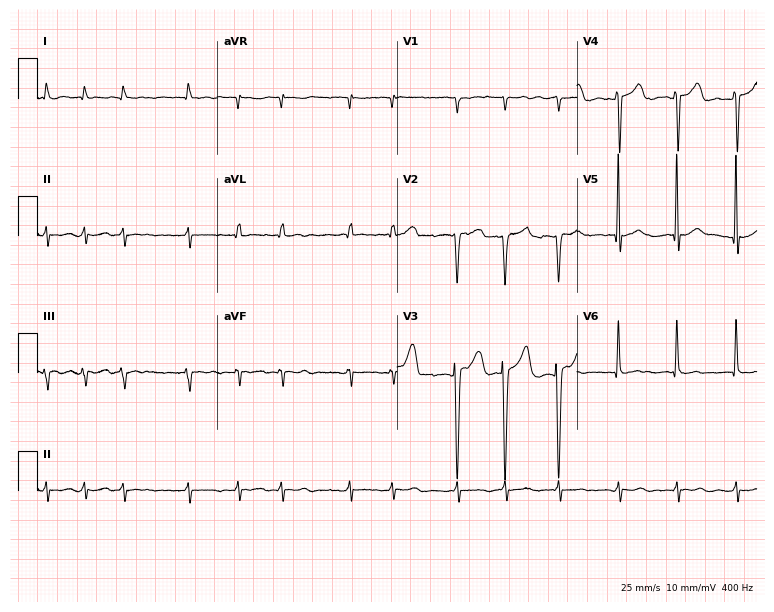
12-lead ECG from a female, 80 years old. Findings include atrial fibrillation.